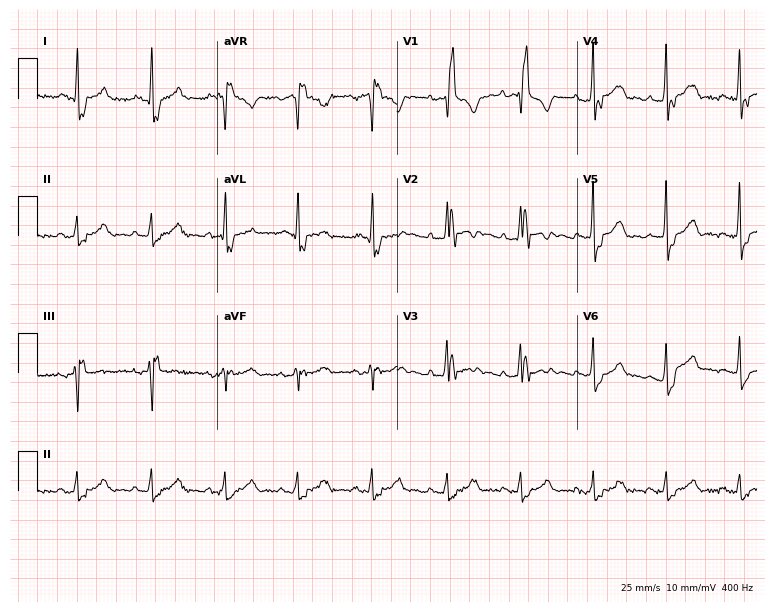
Electrocardiogram, a 63-year-old male. Interpretation includes right bundle branch block (RBBB).